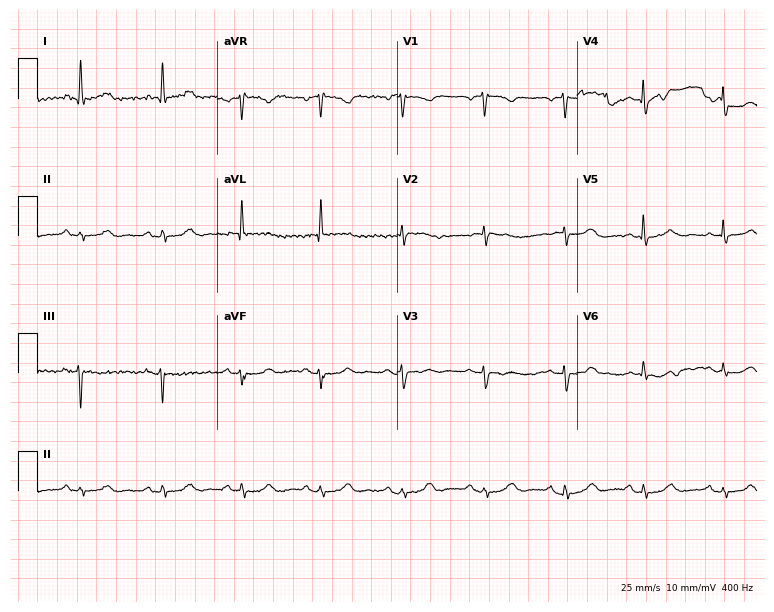
12-lead ECG from a 67-year-old female patient. Labelled as a normal ECG.